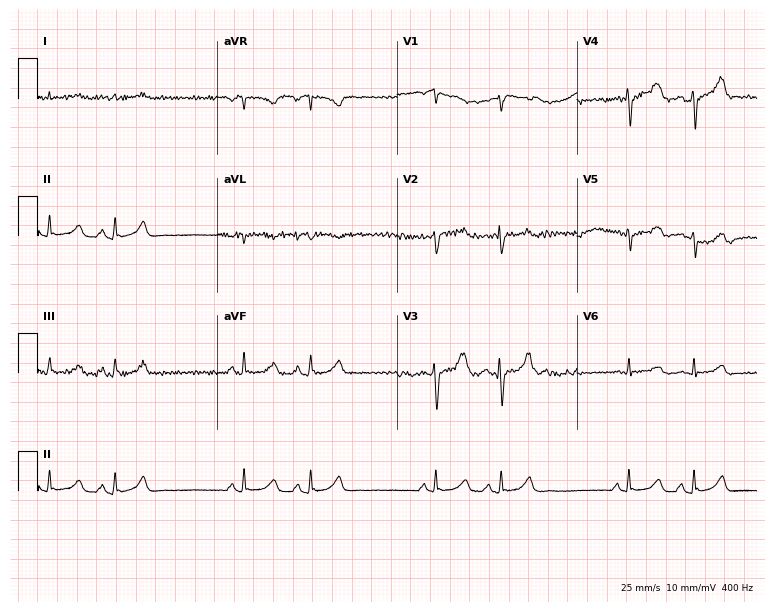
Electrocardiogram (7.3-second recording at 400 Hz), a man, 72 years old. Of the six screened findings (first-degree AV block, right bundle branch block, left bundle branch block, sinus bradycardia, atrial fibrillation, sinus tachycardia), none is recorded. Findings outside these six are not listed.